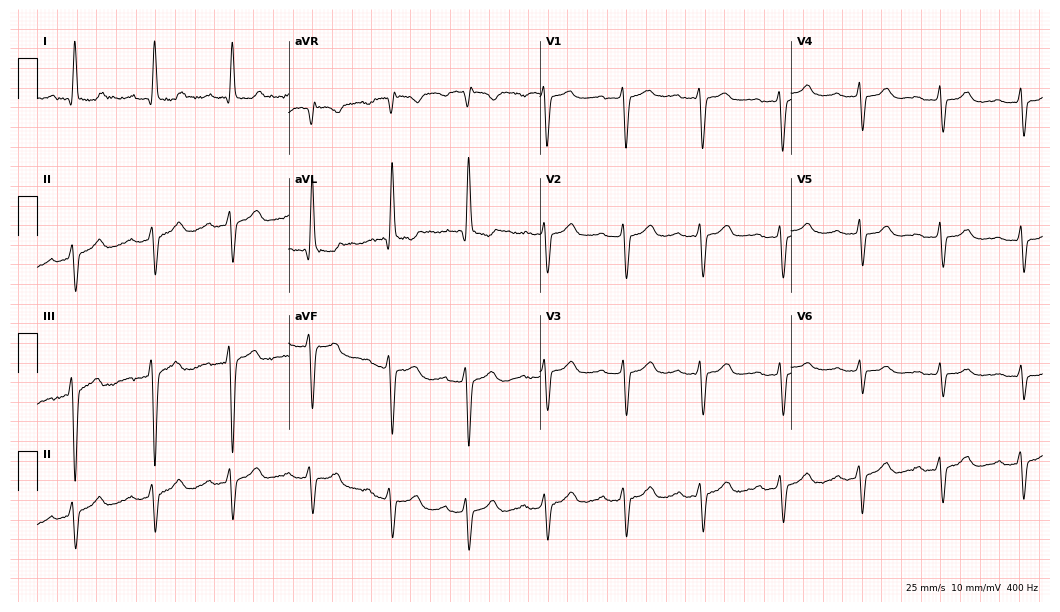
12-lead ECG from a female, 70 years old. Findings include first-degree AV block.